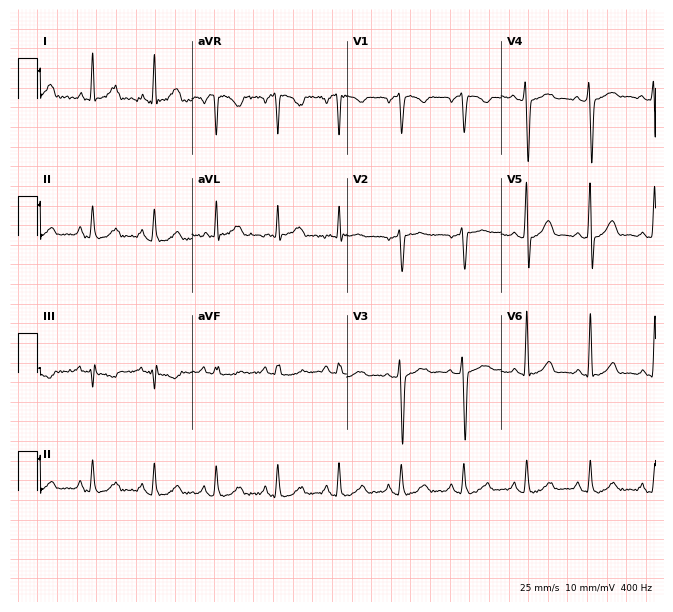
12-lead ECG from a 37-year-old female patient (6.3-second recording at 400 Hz). No first-degree AV block, right bundle branch block (RBBB), left bundle branch block (LBBB), sinus bradycardia, atrial fibrillation (AF) or sinus tachycardia recorded for this tracing. Findings outside these six are not listed.